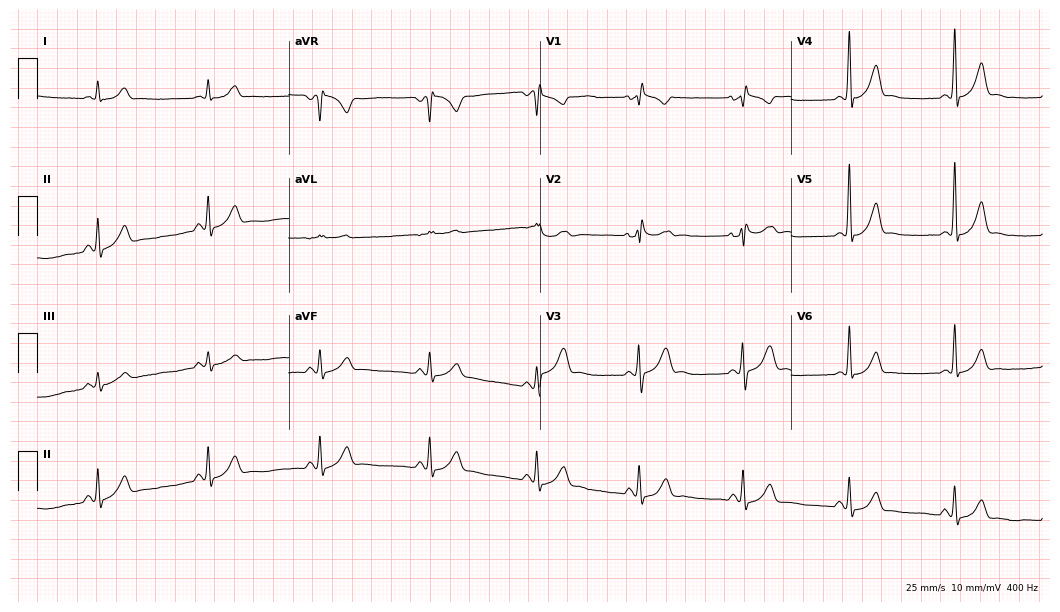
ECG — a male, 43 years old. Labelled as a normal ECG.